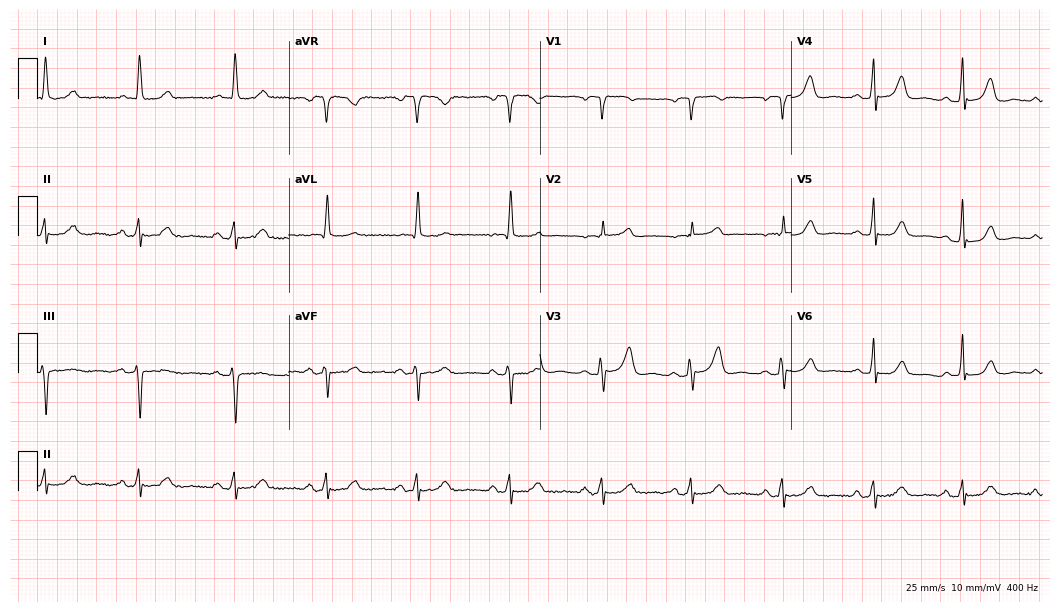
ECG — a 78-year-old female patient. Screened for six findings — first-degree AV block, right bundle branch block (RBBB), left bundle branch block (LBBB), sinus bradycardia, atrial fibrillation (AF), sinus tachycardia — none is recorded.